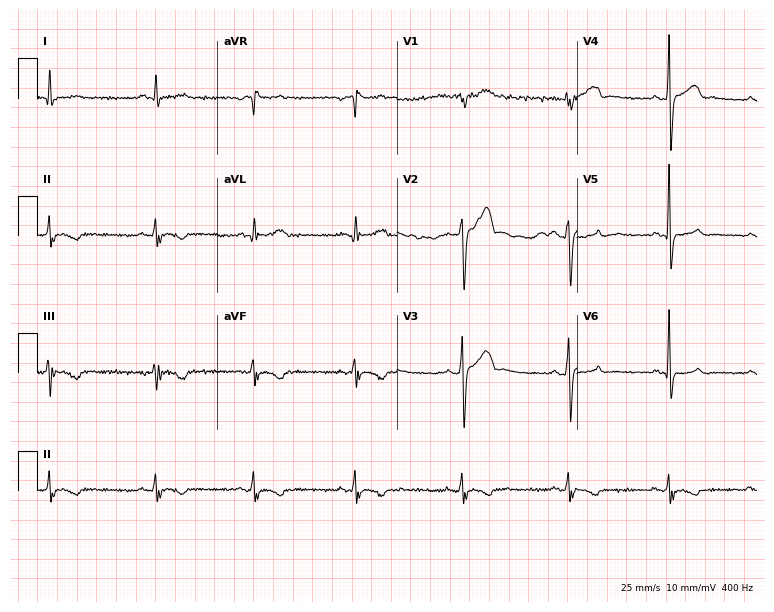
Standard 12-lead ECG recorded from a 26-year-old male. None of these six findings is recorded: first-degree AV block, right bundle branch block, left bundle branch block, sinus bradycardia, atrial fibrillation, sinus tachycardia. Only these six findings were labelled.